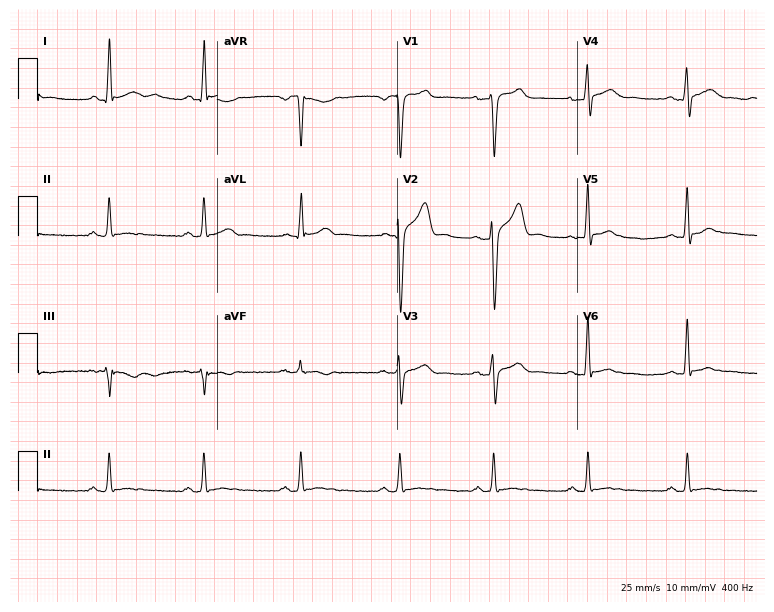
Resting 12-lead electrocardiogram. Patient: a 28-year-old male. None of these six findings is recorded: first-degree AV block, right bundle branch block, left bundle branch block, sinus bradycardia, atrial fibrillation, sinus tachycardia. Other findings, if any, are not listed.